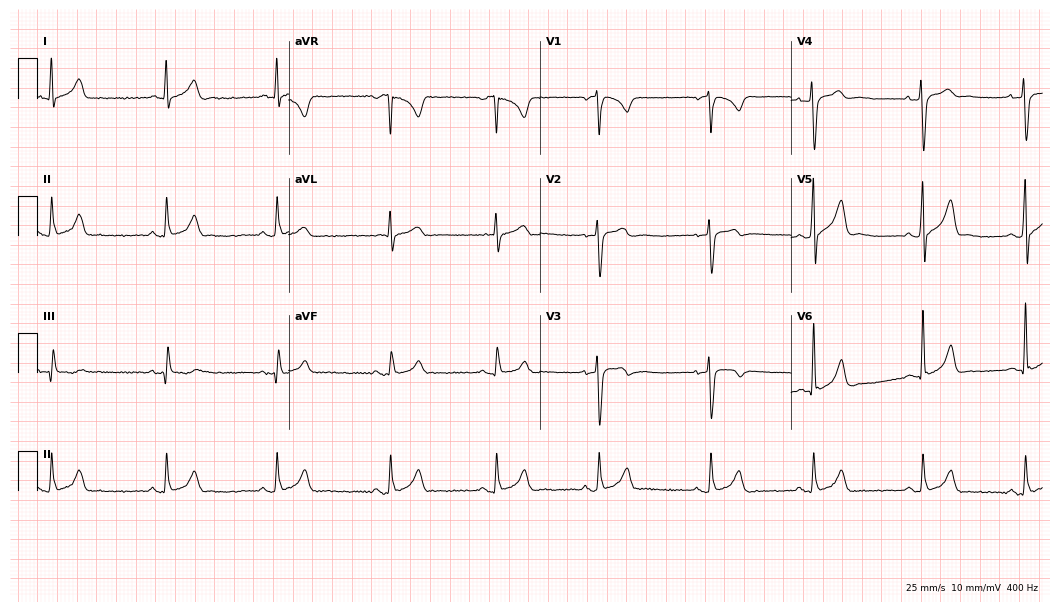
12-lead ECG from a man, 38 years old. Screened for six findings — first-degree AV block, right bundle branch block (RBBB), left bundle branch block (LBBB), sinus bradycardia, atrial fibrillation (AF), sinus tachycardia — none is recorded.